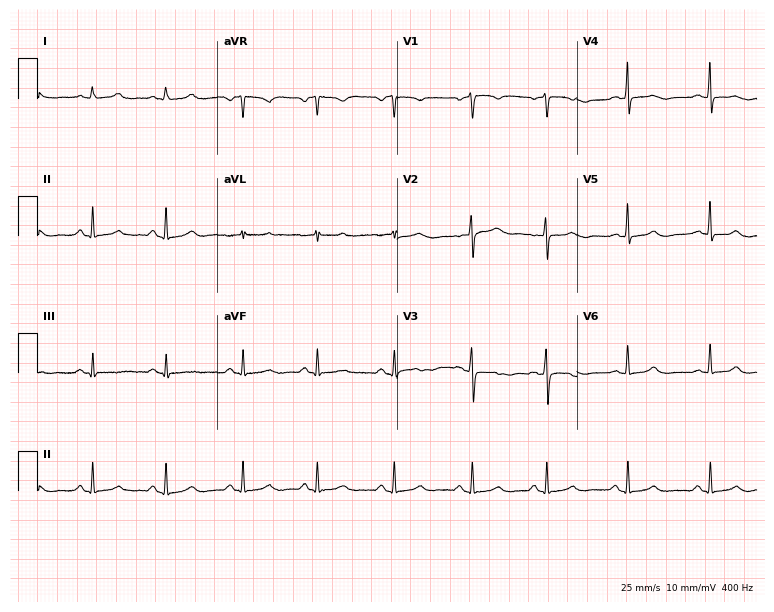
Electrocardiogram, a 26-year-old female. Of the six screened findings (first-degree AV block, right bundle branch block, left bundle branch block, sinus bradycardia, atrial fibrillation, sinus tachycardia), none is recorded.